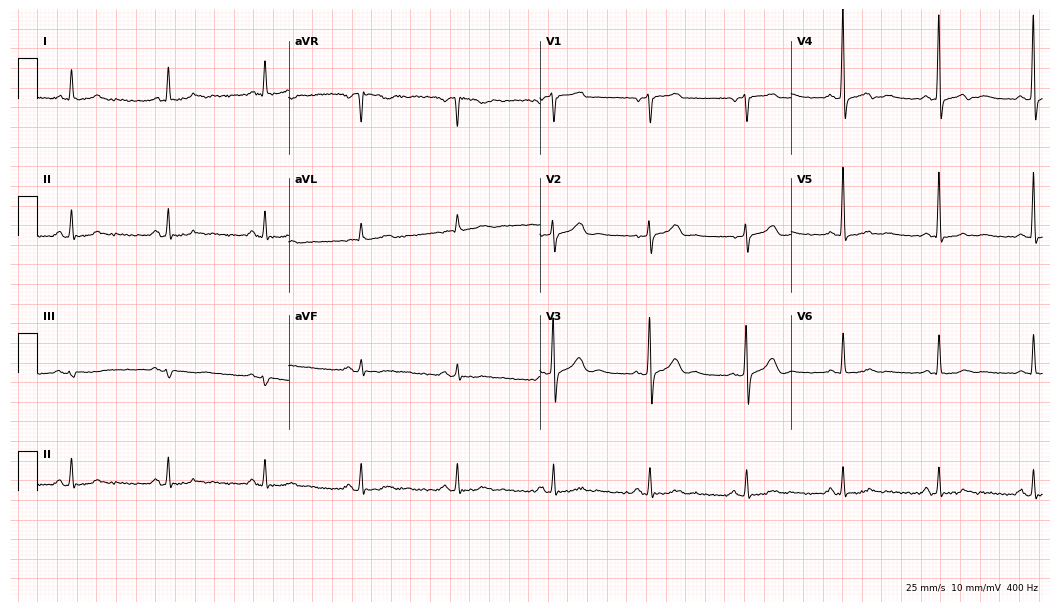
12-lead ECG from a man, 67 years old. Screened for six findings — first-degree AV block, right bundle branch block, left bundle branch block, sinus bradycardia, atrial fibrillation, sinus tachycardia — none is recorded.